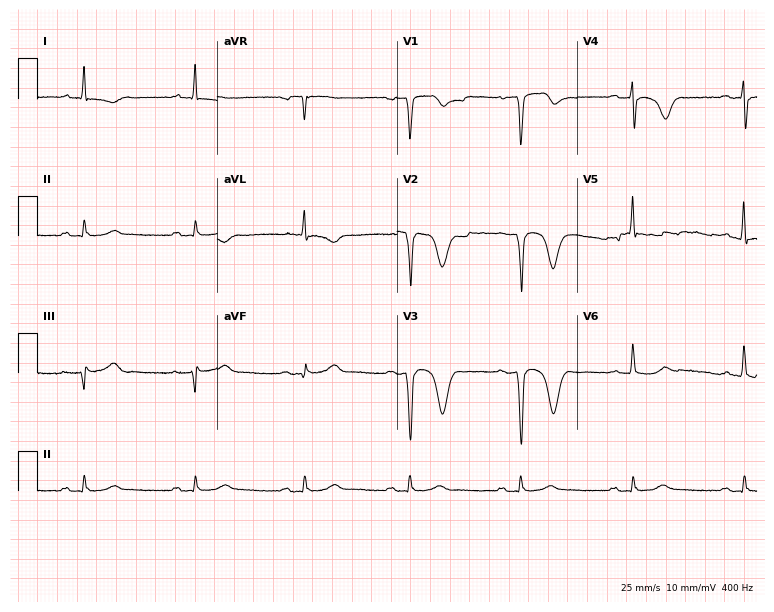
Standard 12-lead ECG recorded from a 52-year-old male. None of these six findings is recorded: first-degree AV block, right bundle branch block, left bundle branch block, sinus bradycardia, atrial fibrillation, sinus tachycardia. Findings outside these six are not listed.